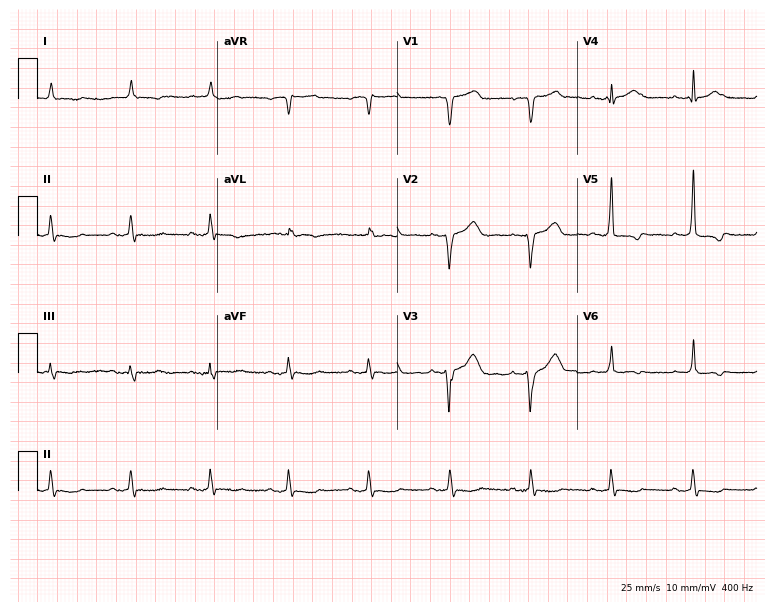
Electrocardiogram (7.3-second recording at 400 Hz), a man, 79 years old. Of the six screened findings (first-degree AV block, right bundle branch block (RBBB), left bundle branch block (LBBB), sinus bradycardia, atrial fibrillation (AF), sinus tachycardia), none is recorded.